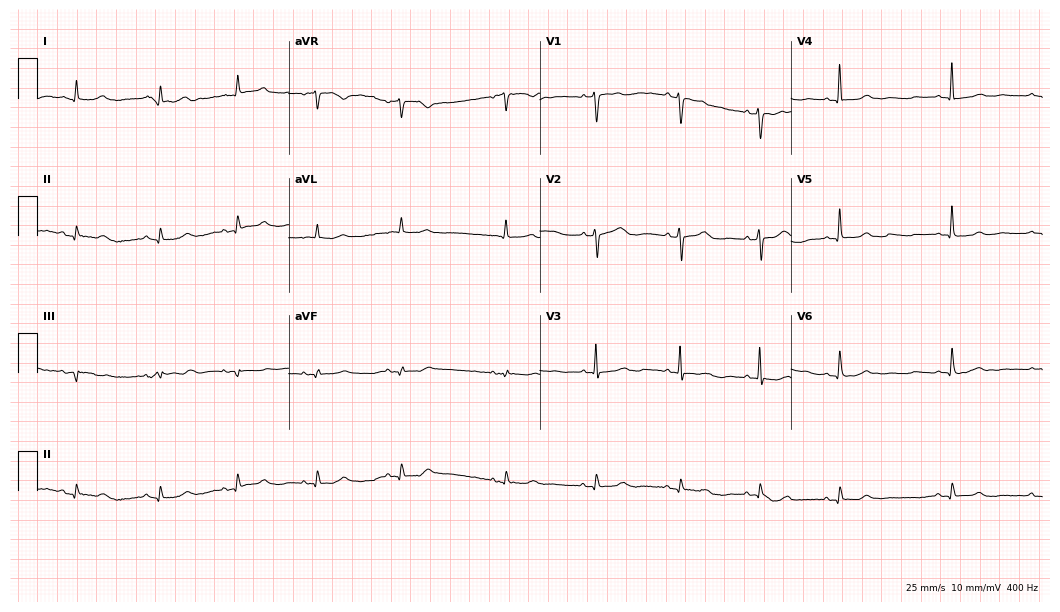
Electrocardiogram, a female patient, 85 years old. Of the six screened findings (first-degree AV block, right bundle branch block, left bundle branch block, sinus bradycardia, atrial fibrillation, sinus tachycardia), none is recorded.